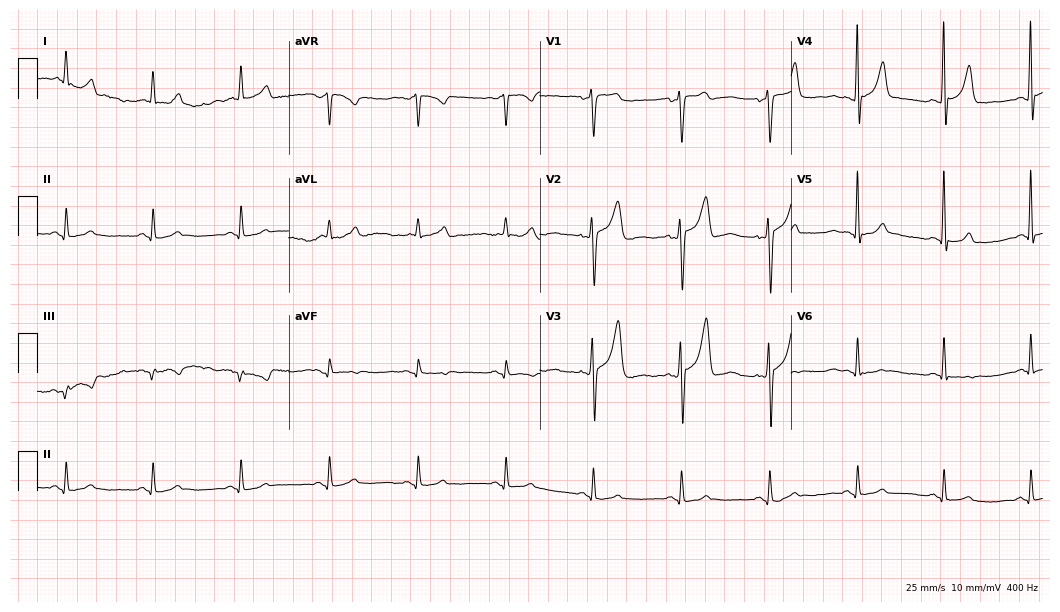
Resting 12-lead electrocardiogram. Patient: a man, 56 years old. None of these six findings is recorded: first-degree AV block, right bundle branch block (RBBB), left bundle branch block (LBBB), sinus bradycardia, atrial fibrillation (AF), sinus tachycardia. Findings outside these six are not listed.